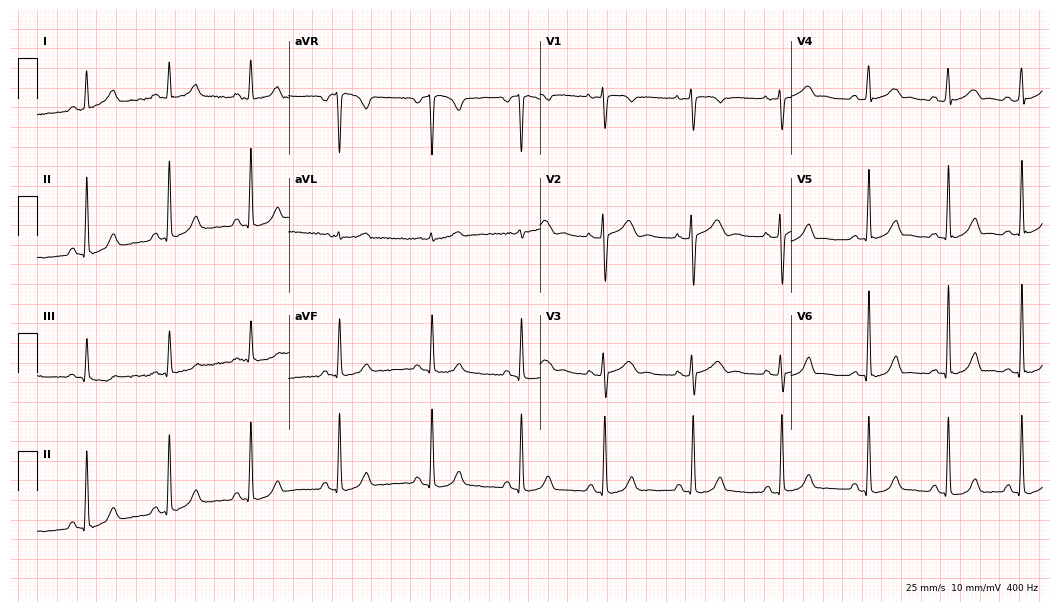
Standard 12-lead ECG recorded from a 29-year-old woman. Read as a normal ECG.